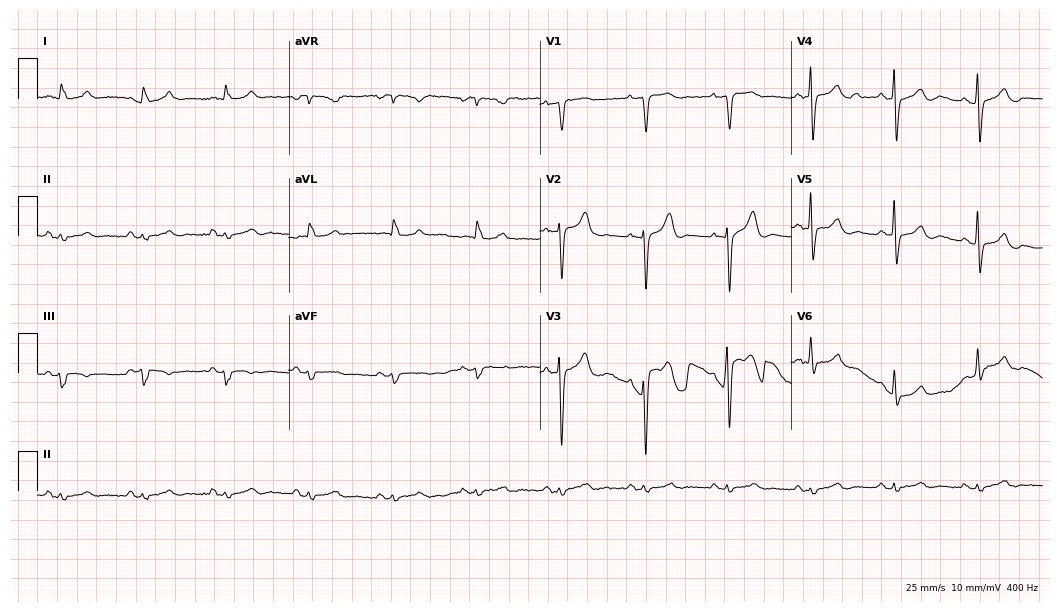
12-lead ECG (10.2-second recording at 400 Hz) from an 82-year-old male. Labelled as a normal ECG.